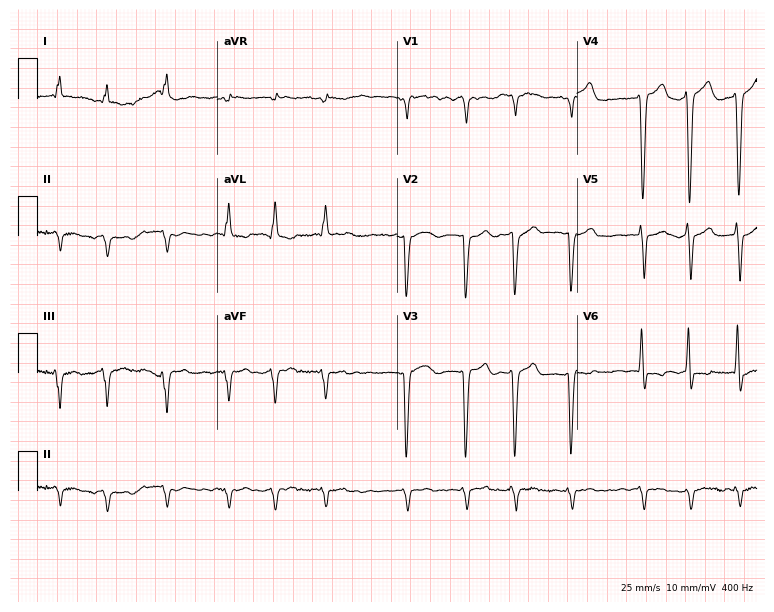
Standard 12-lead ECG recorded from a 70-year-old male. The tracing shows atrial fibrillation.